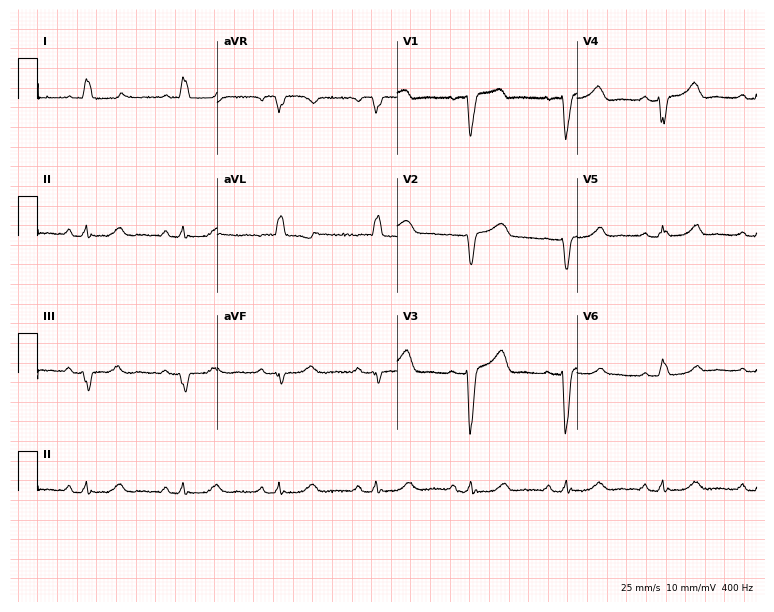
Resting 12-lead electrocardiogram (7.3-second recording at 400 Hz). Patient: a 77-year-old female. The tracing shows left bundle branch block.